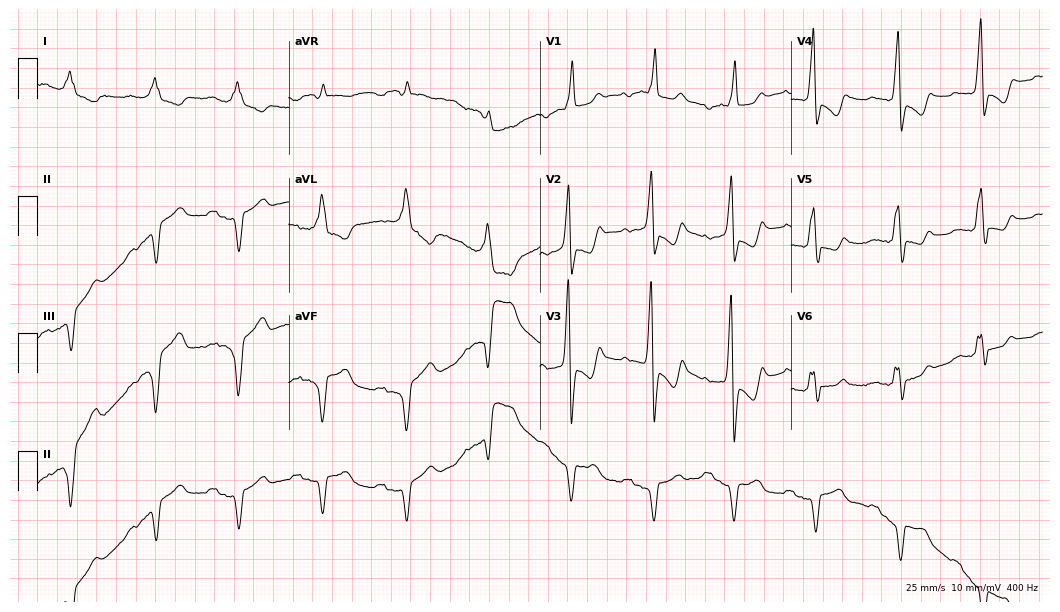
ECG — an 80-year-old man. Screened for six findings — first-degree AV block, right bundle branch block (RBBB), left bundle branch block (LBBB), sinus bradycardia, atrial fibrillation (AF), sinus tachycardia — none is recorded. Only these six findings were labelled.